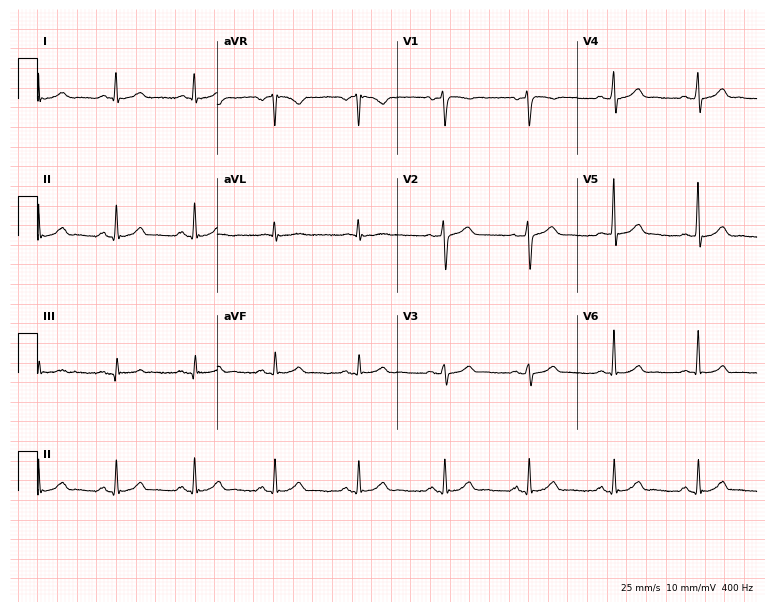
Electrocardiogram (7.3-second recording at 400 Hz), a 50-year-old male patient. Overall reading on record: normal ECG.